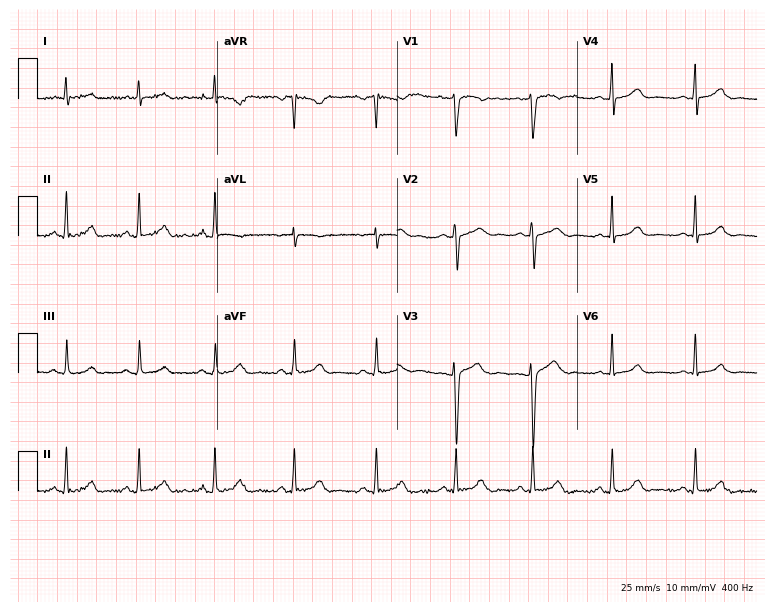
Electrocardiogram, a woman, 31 years old. Of the six screened findings (first-degree AV block, right bundle branch block, left bundle branch block, sinus bradycardia, atrial fibrillation, sinus tachycardia), none is recorded. Findings outside these six are not listed.